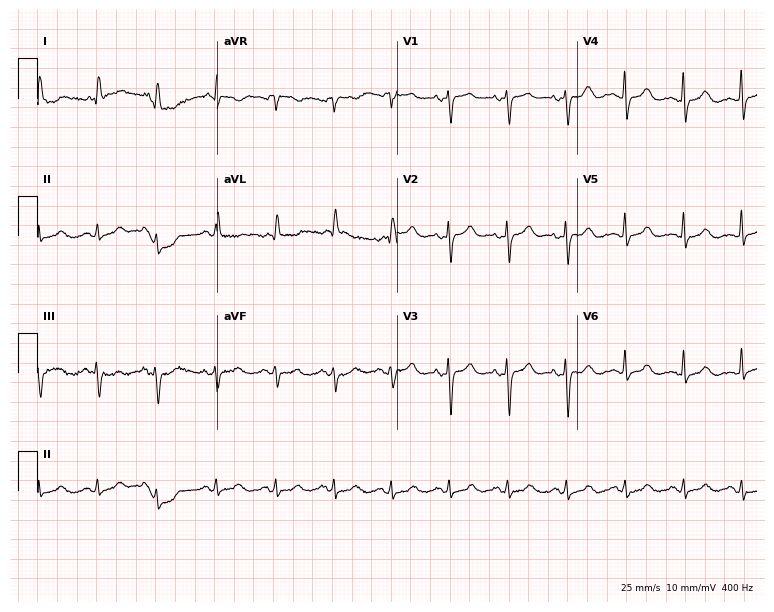
Electrocardiogram (7.3-second recording at 400 Hz), an 83-year-old female patient. Interpretation includes sinus tachycardia (a sinus rate of 100 beats per minute or more).